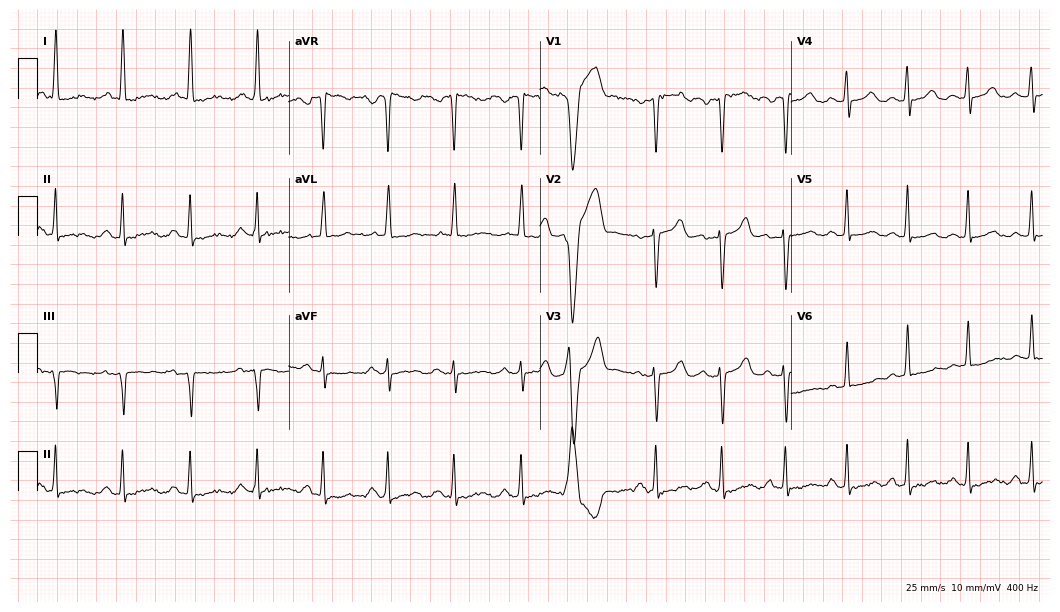
Resting 12-lead electrocardiogram (10.2-second recording at 400 Hz). Patient: a 56-year-old female. None of these six findings is recorded: first-degree AV block, right bundle branch block, left bundle branch block, sinus bradycardia, atrial fibrillation, sinus tachycardia.